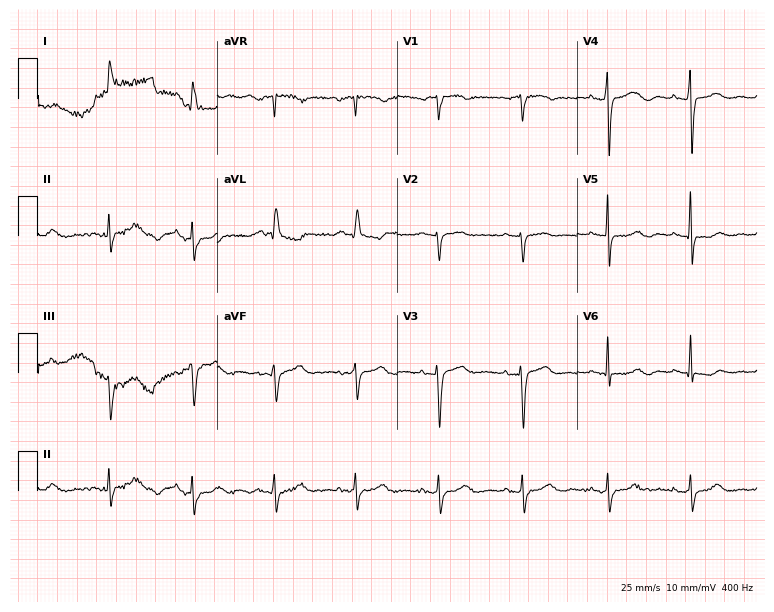
Electrocardiogram, a 57-year-old female patient. Of the six screened findings (first-degree AV block, right bundle branch block, left bundle branch block, sinus bradycardia, atrial fibrillation, sinus tachycardia), none is recorded.